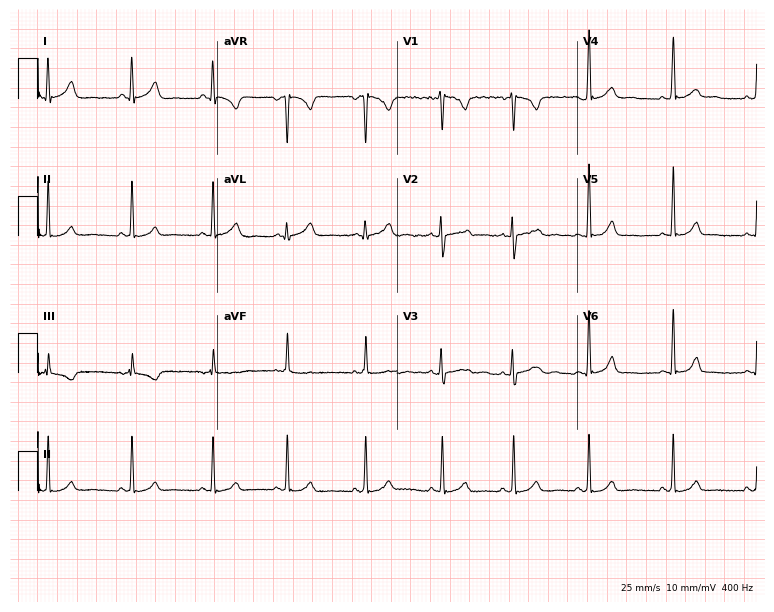
12-lead ECG from a female, 20 years old. No first-degree AV block, right bundle branch block, left bundle branch block, sinus bradycardia, atrial fibrillation or sinus tachycardia recorded for this tracing.